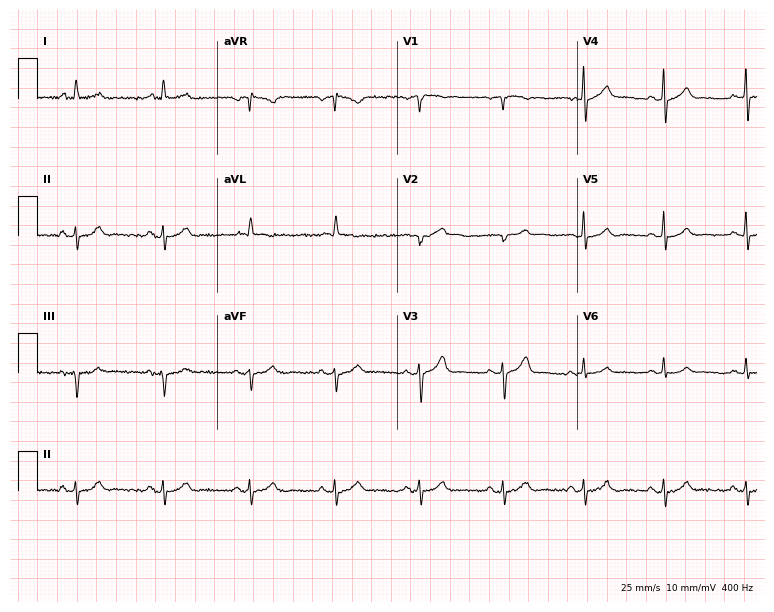
12-lead ECG from a 77-year-old man. Screened for six findings — first-degree AV block, right bundle branch block, left bundle branch block, sinus bradycardia, atrial fibrillation, sinus tachycardia — none is recorded.